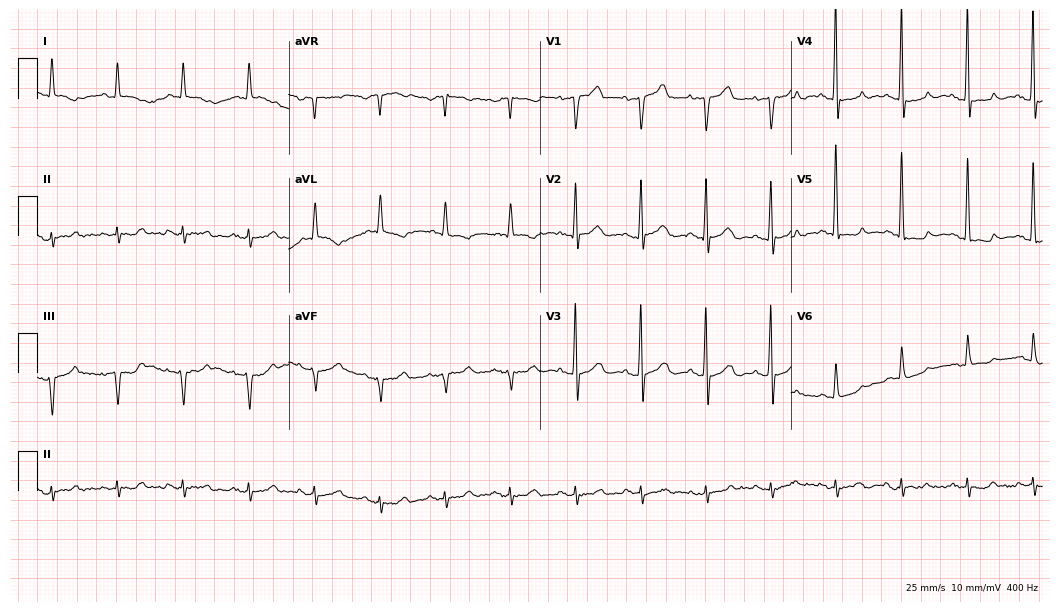
Standard 12-lead ECG recorded from an 84-year-old male patient. Read as a normal ECG.